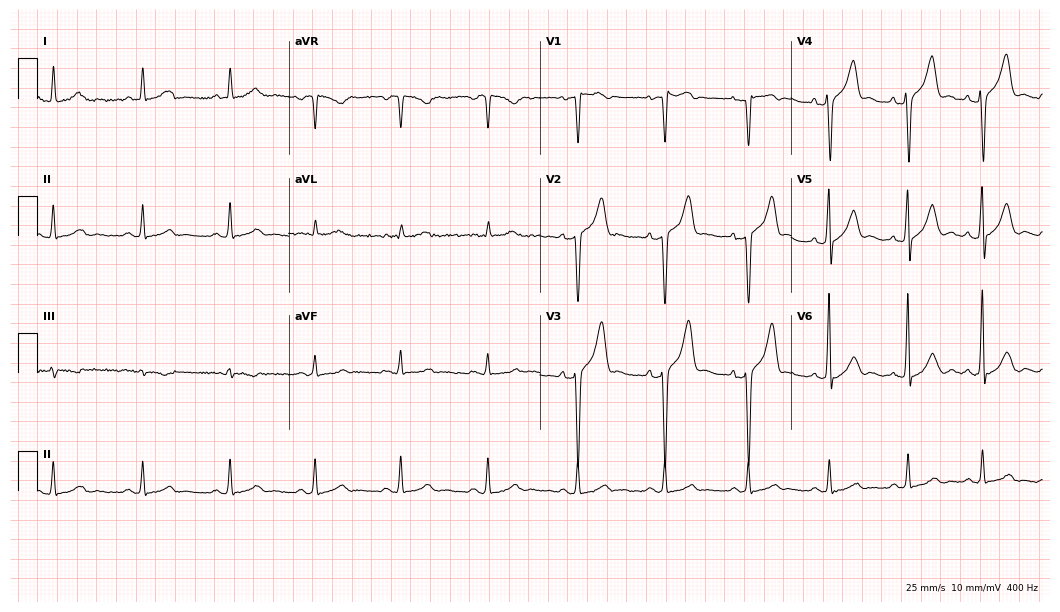
Electrocardiogram, a male patient, 43 years old. Of the six screened findings (first-degree AV block, right bundle branch block (RBBB), left bundle branch block (LBBB), sinus bradycardia, atrial fibrillation (AF), sinus tachycardia), none is recorded.